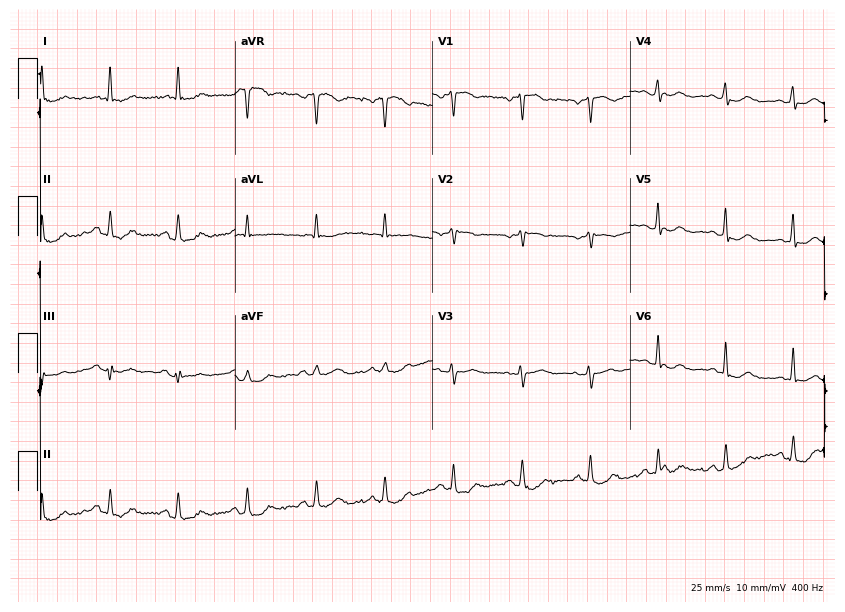
12-lead ECG from a 75-year-old woman. No first-degree AV block, right bundle branch block (RBBB), left bundle branch block (LBBB), sinus bradycardia, atrial fibrillation (AF) or sinus tachycardia recorded for this tracing. Only these six findings were labelled.